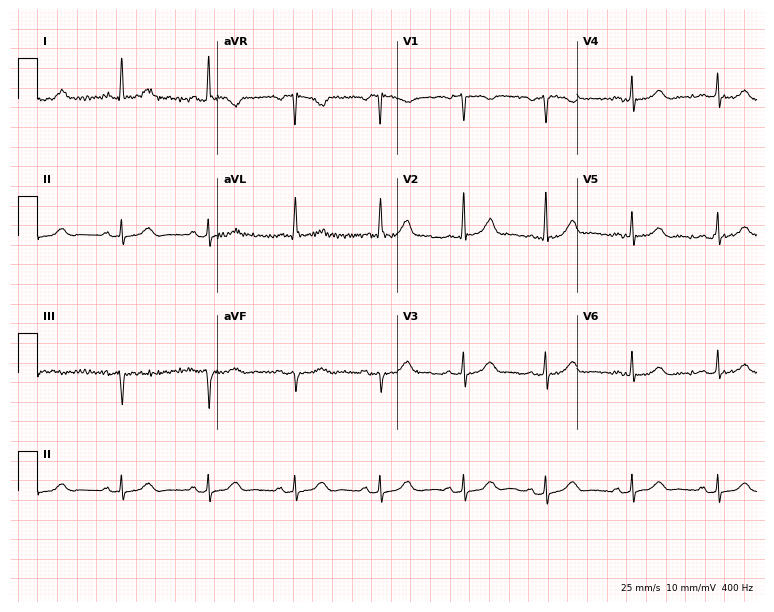
Standard 12-lead ECG recorded from a woman, 65 years old. Read as a normal ECG.